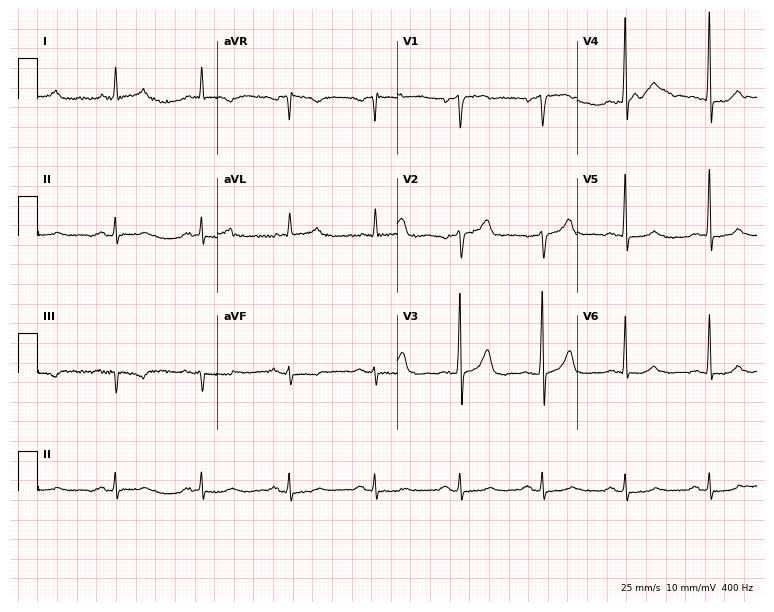
12-lead ECG from a male patient, 59 years old. Recorded interpretation: within normal limits.